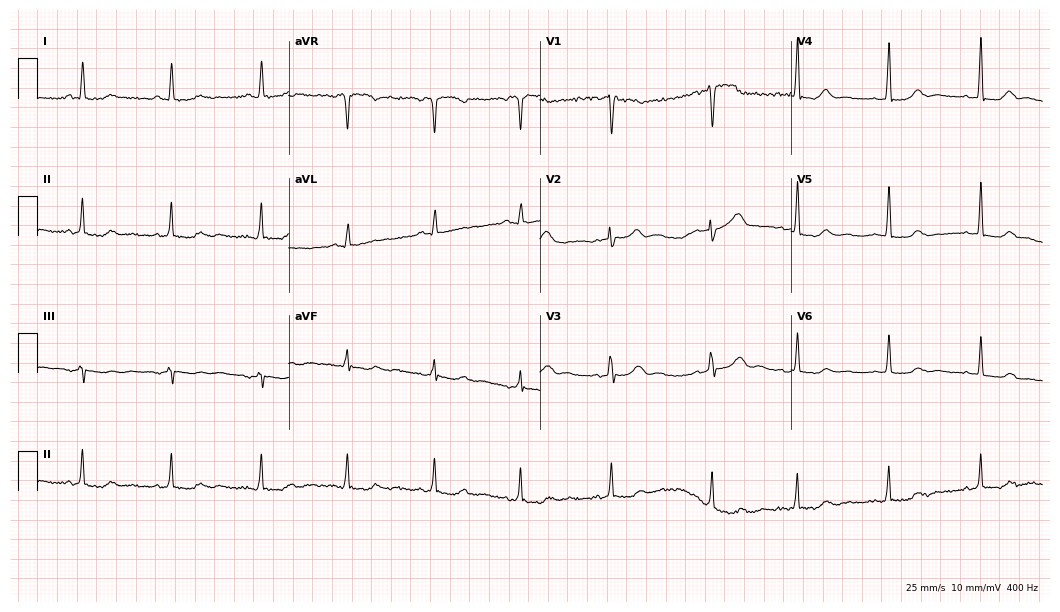
12-lead ECG from a female, 60 years old. Screened for six findings — first-degree AV block, right bundle branch block, left bundle branch block, sinus bradycardia, atrial fibrillation, sinus tachycardia — none is recorded. Findings outside these six are not listed.